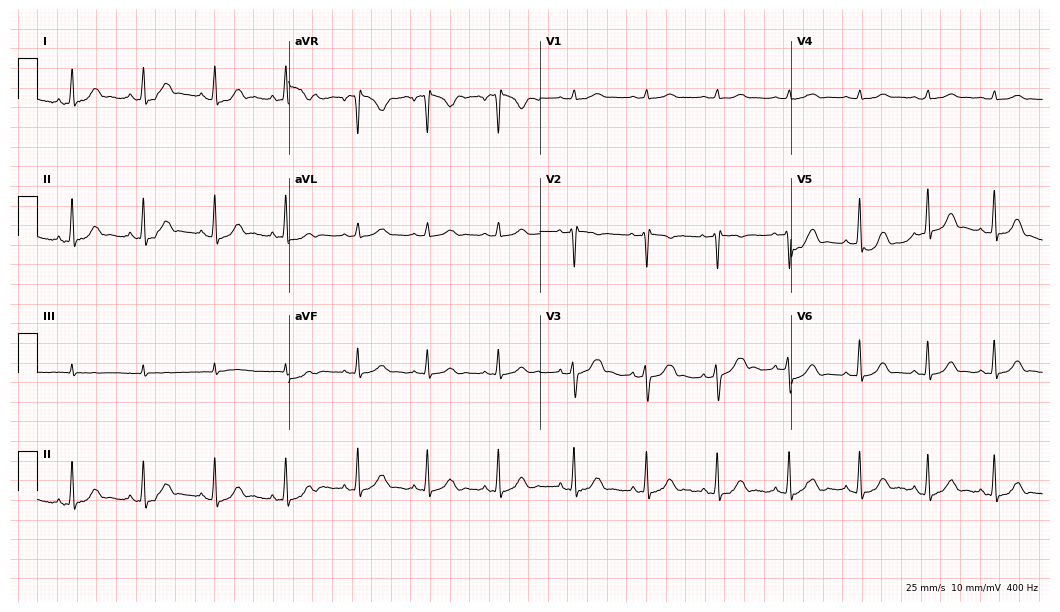
ECG — a female patient, 30 years old. Screened for six findings — first-degree AV block, right bundle branch block (RBBB), left bundle branch block (LBBB), sinus bradycardia, atrial fibrillation (AF), sinus tachycardia — none is recorded. Only these six findings were labelled.